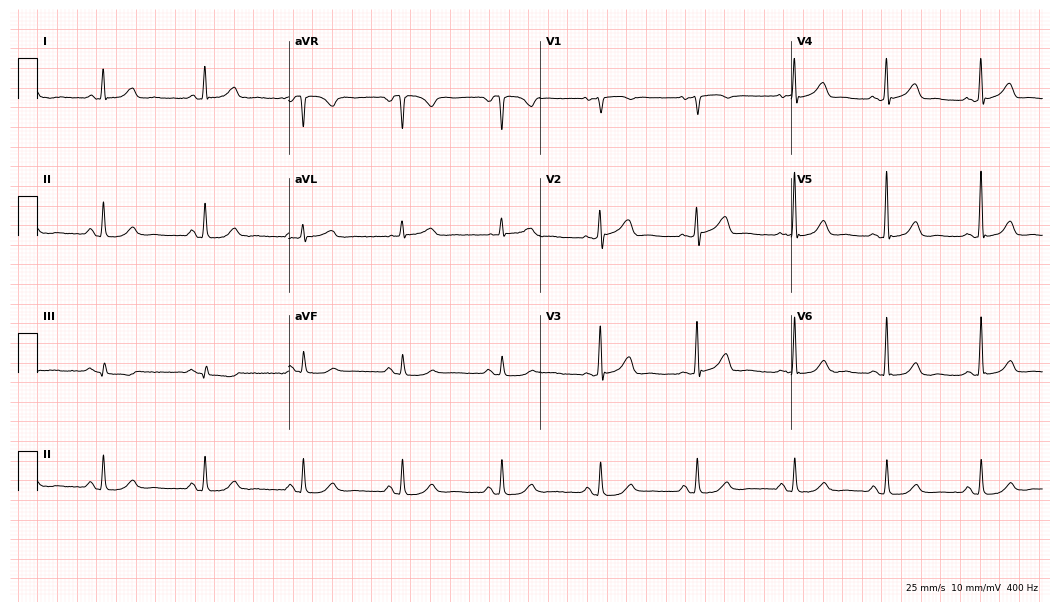
Resting 12-lead electrocardiogram (10.2-second recording at 400 Hz). Patient: a 58-year-old female. None of these six findings is recorded: first-degree AV block, right bundle branch block, left bundle branch block, sinus bradycardia, atrial fibrillation, sinus tachycardia. Only these six findings were labelled.